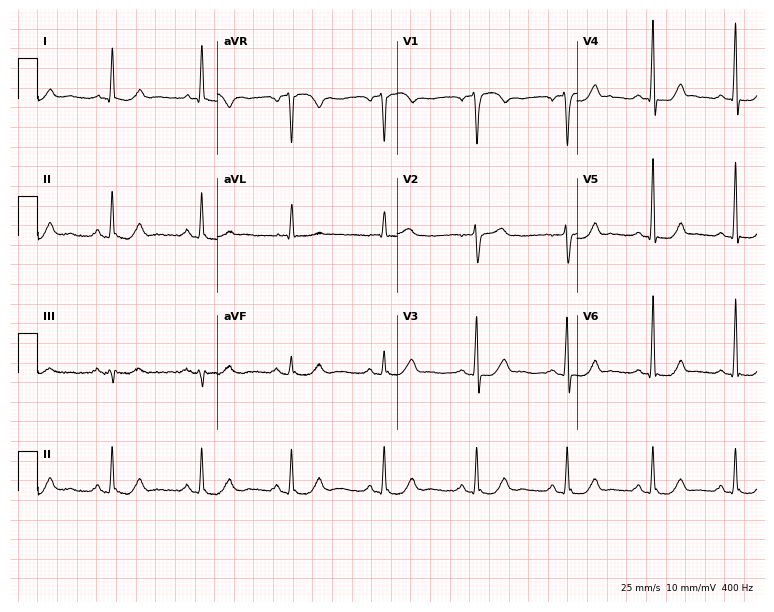
Resting 12-lead electrocardiogram (7.3-second recording at 400 Hz). Patient: a 45-year-old male. Read as a normal ECG.